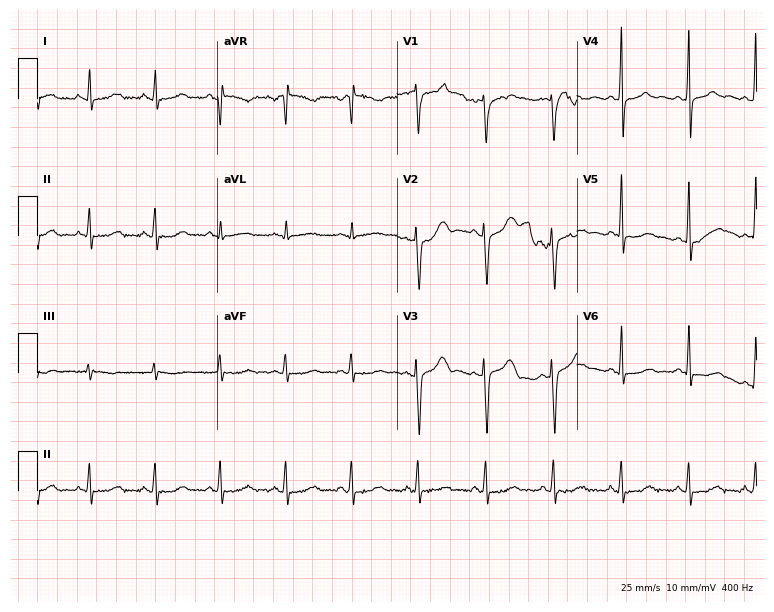
Electrocardiogram, a 47-year-old female. Overall reading on record: normal ECG.